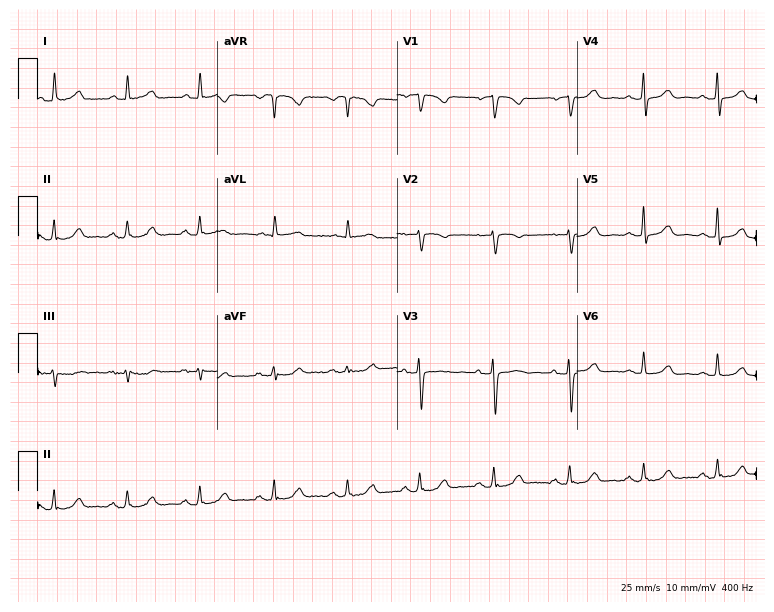
12-lead ECG from a 69-year-old female patient (7.3-second recording at 400 Hz). No first-degree AV block, right bundle branch block, left bundle branch block, sinus bradycardia, atrial fibrillation or sinus tachycardia recorded for this tracing. Other findings, if any, are not listed.